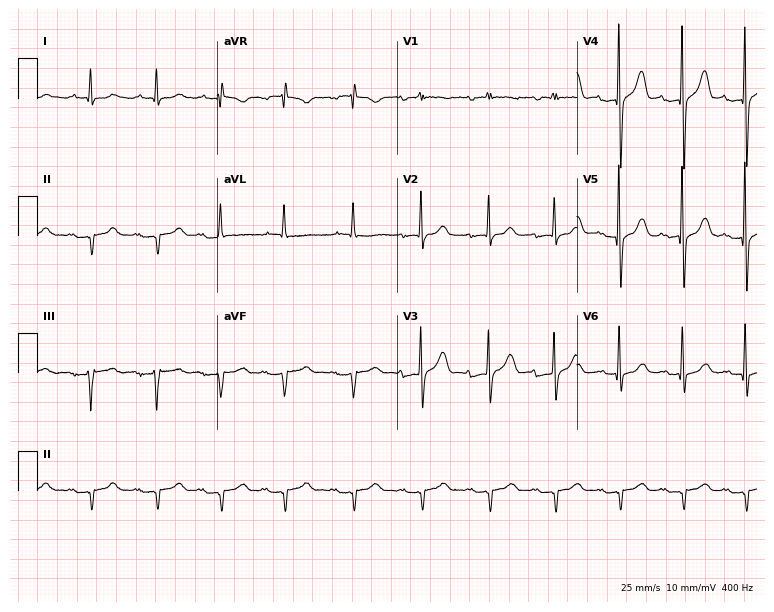
12-lead ECG from a man, 76 years old (7.3-second recording at 400 Hz). No first-degree AV block, right bundle branch block, left bundle branch block, sinus bradycardia, atrial fibrillation or sinus tachycardia recorded for this tracing. Only these six findings were labelled.